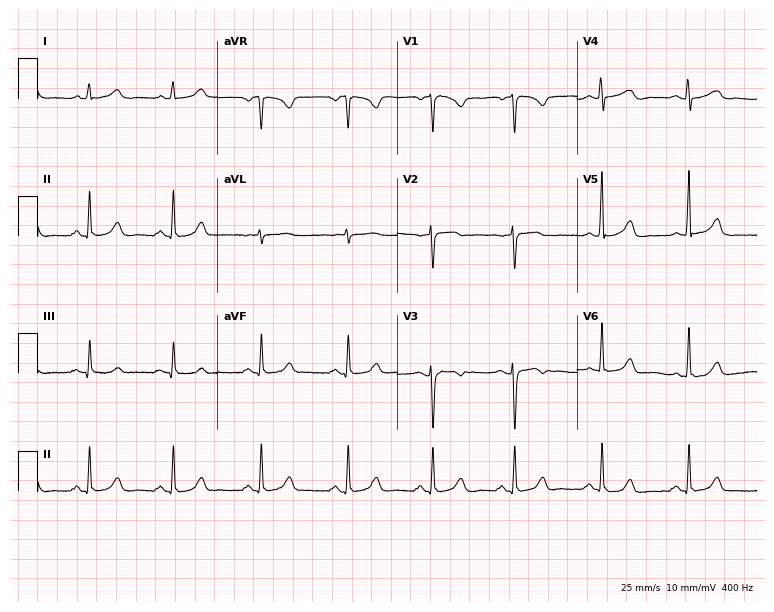
12-lead ECG from a female patient, 44 years old. Labelled as a normal ECG.